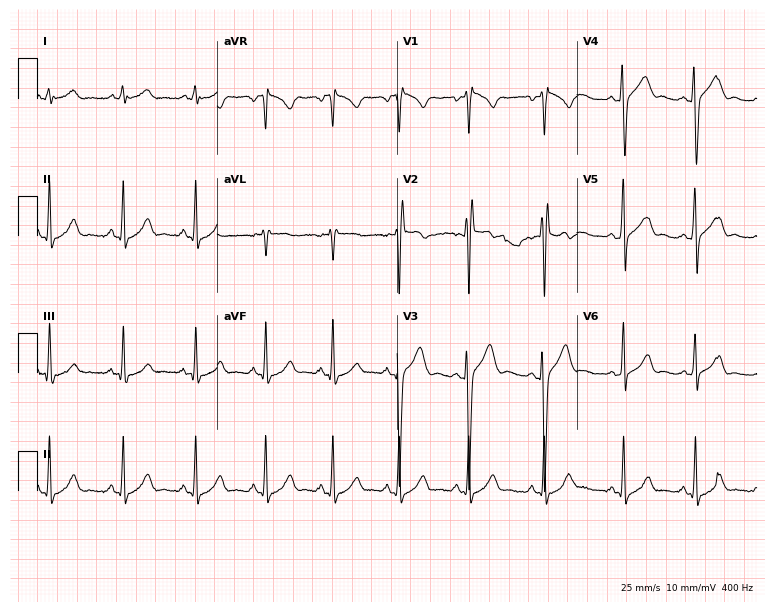
Electrocardiogram, a 25-year-old man. Overall reading on record: normal ECG.